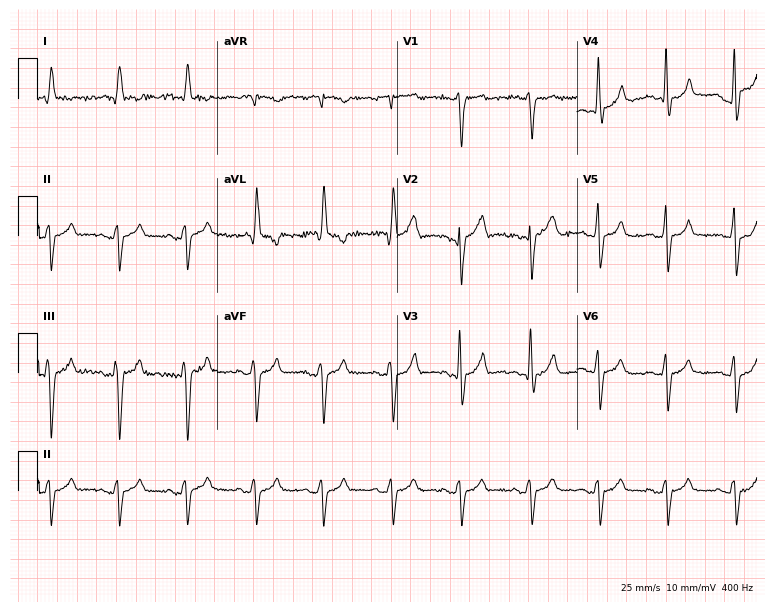
ECG — an 88-year-old male patient. Screened for six findings — first-degree AV block, right bundle branch block, left bundle branch block, sinus bradycardia, atrial fibrillation, sinus tachycardia — none is recorded. Other findings, if any, are not listed.